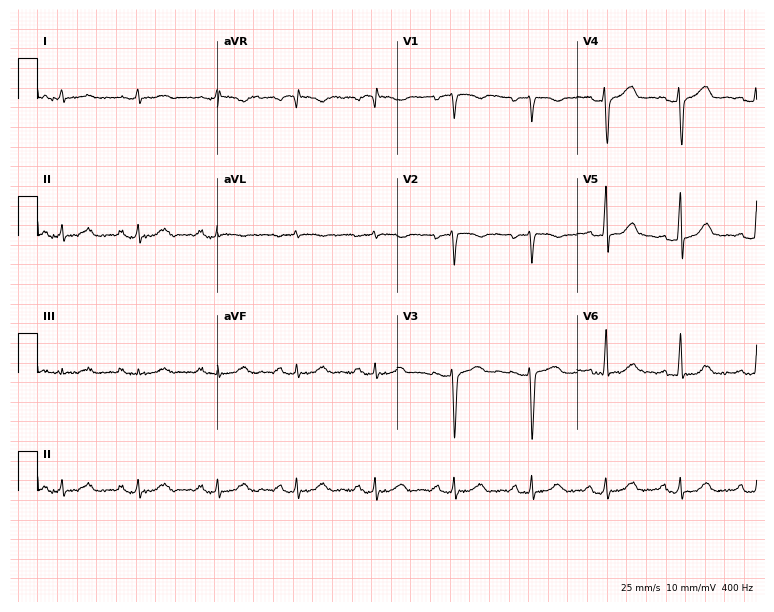
Standard 12-lead ECG recorded from a 45-year-old female patient. None of these six findings is recorded: first-degree AV block, right bundle branch block, left bundle branch block, sinus bradycardia, atrial fibrillation, sinus tachycardia.